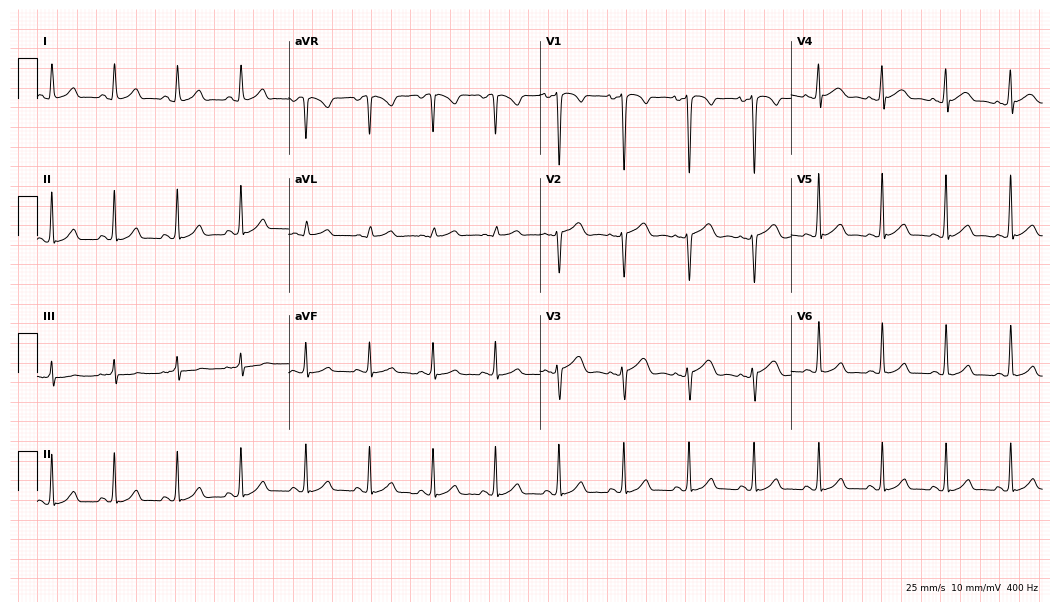
Standard 12-lead ECG recorded from a 21-year-old female patient. Read as a normal ECG.